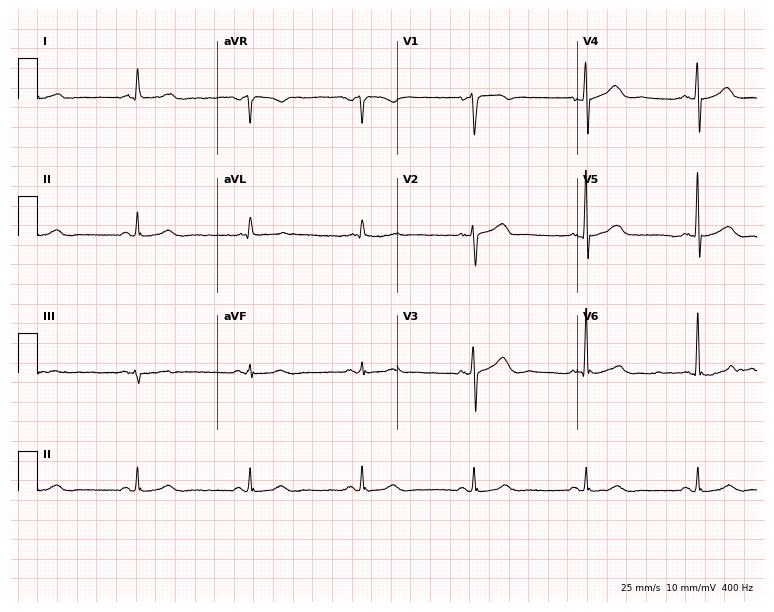
Standard 12-lead ECG recorded from a man, 83 years old (7.3-second recording at 400 Hz). Read as a normal ECG.